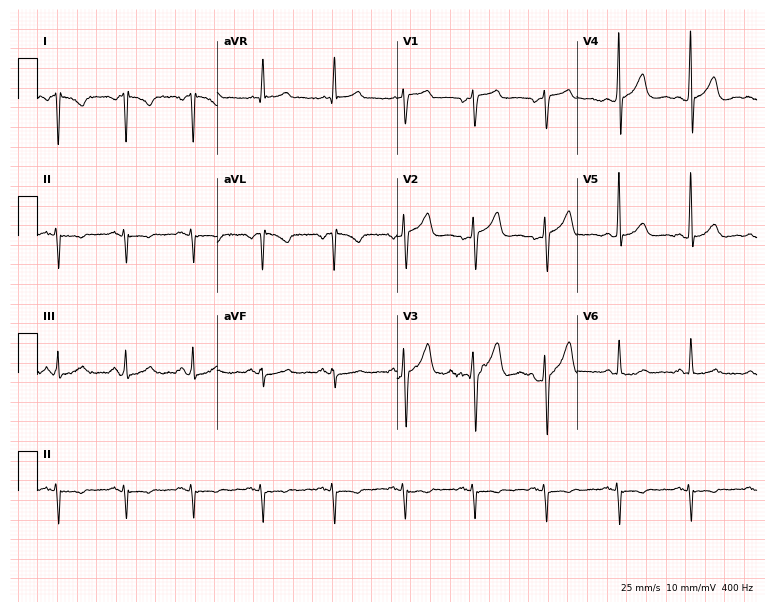
Resting 12-lead electrocardiogram (7.3-second recording at 400 Hz). Patient: a female, 49 years old. None of these six findings is recorded: first-degree AV block, right bundle branch block, left bundle branch block, sinus bradycardia, atrial fibrillation, sinus tachycardia.